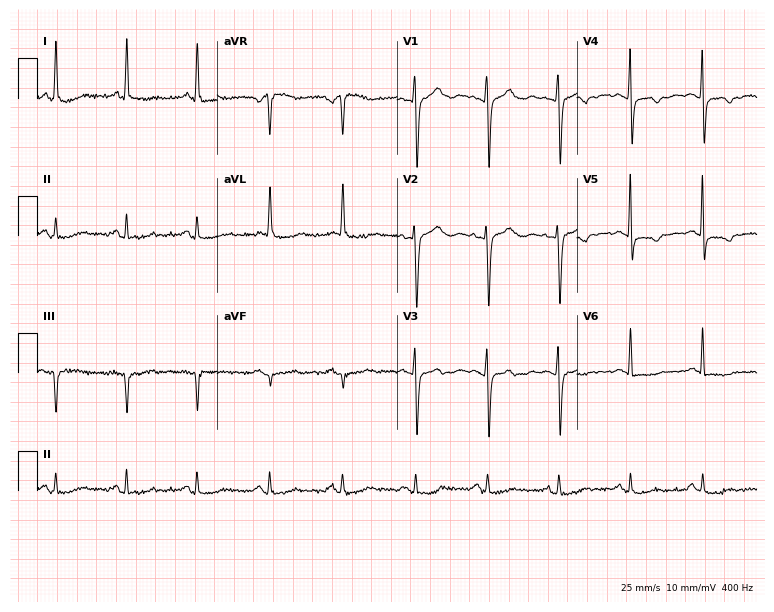
Electrocardiogram (7.3-second recording at 400 Hz), a female, 79 years old. Of the six screened findings (first-degree AV block, right bundle branch block, left bundle branch block, sinus bradycardia, atrial fibrillation, sinus tachycardia), none is recorded.